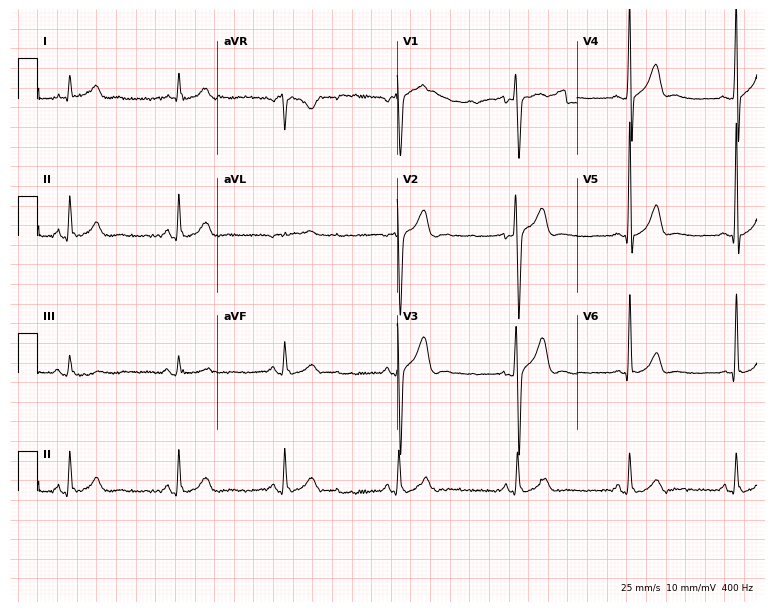
12-lead ECG from a man, 36 years old (7.3-second recording at 400 Hz). Recorded interpretation: within normal limits.